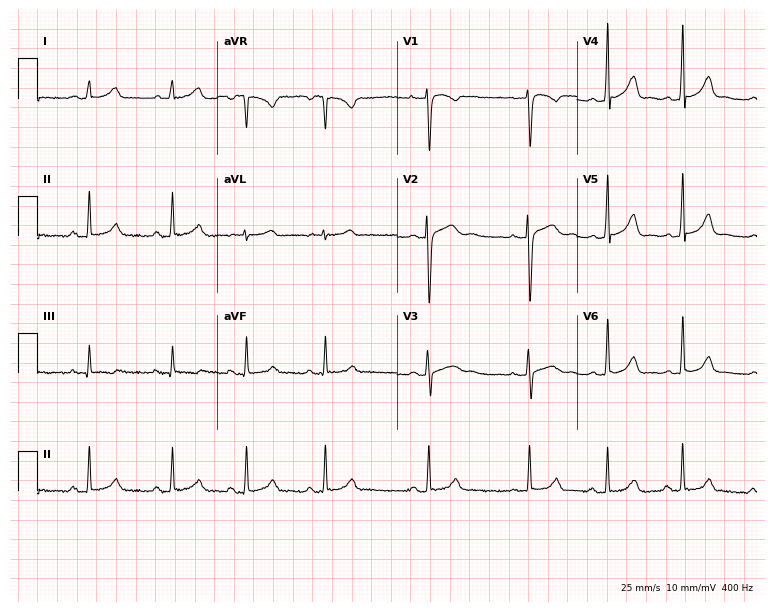
Electrocardiogram, a female, 25 years old. Of the six screened findings (first-degree AV block, right bundle branch block (RBBB), left bundle branch block (LBBB), sinus bradycardia, atrial fibrillation (AF), sinus tachycardia), none is recorded.